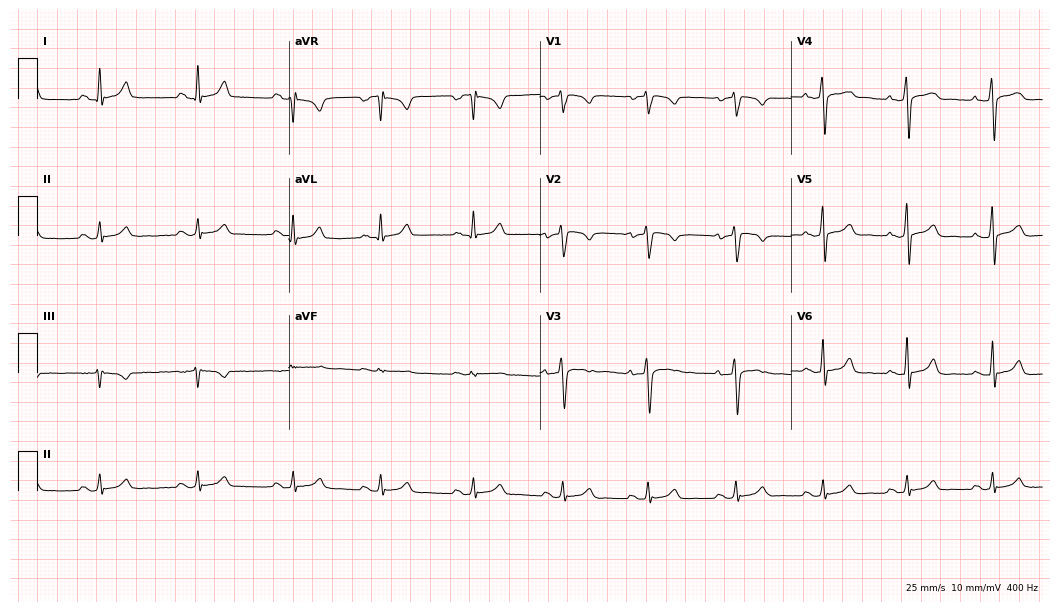
Electrocardiogram, a 29-year-old man. Overall reading on record: normal ECG.